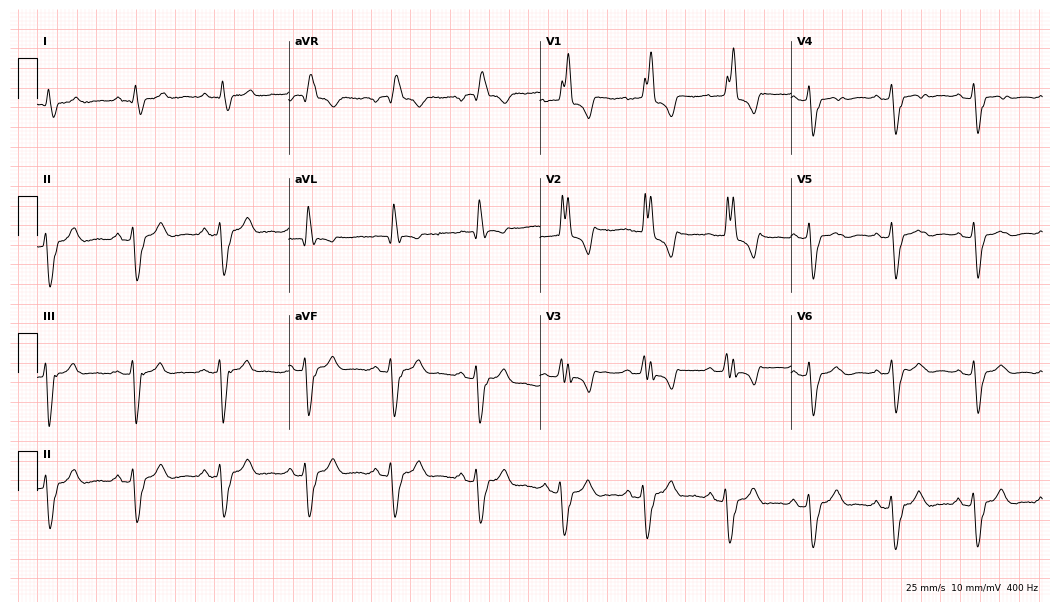
Standard 12-lead ECG recorded from an 85-year-old woman. The tracing shows right bundle branch block (RBBB).